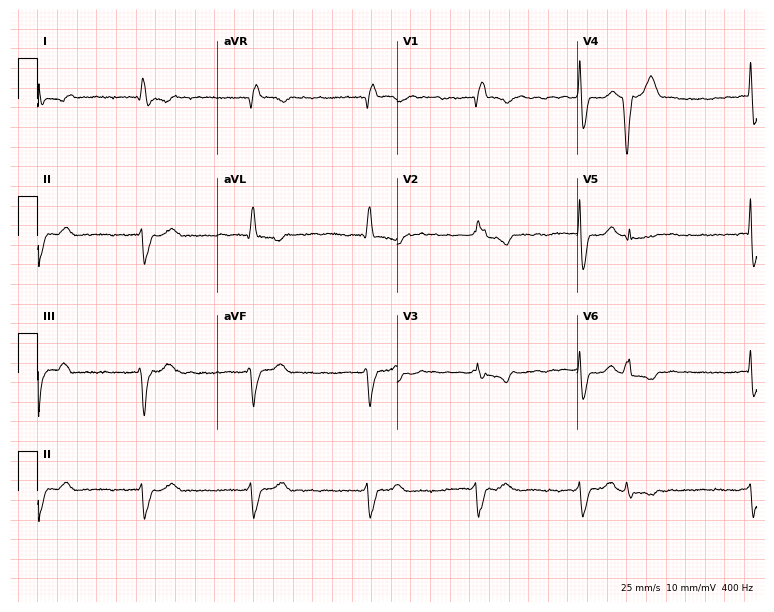
Resting 12-lead electrocardiogram. Patient: a 72-year-old woman. None of these six findings is recorded: first-degree AV block, right bundle branch block, left bundle branch block, sinus bradycardia, atrial fibrillation, sinus tachycardia.